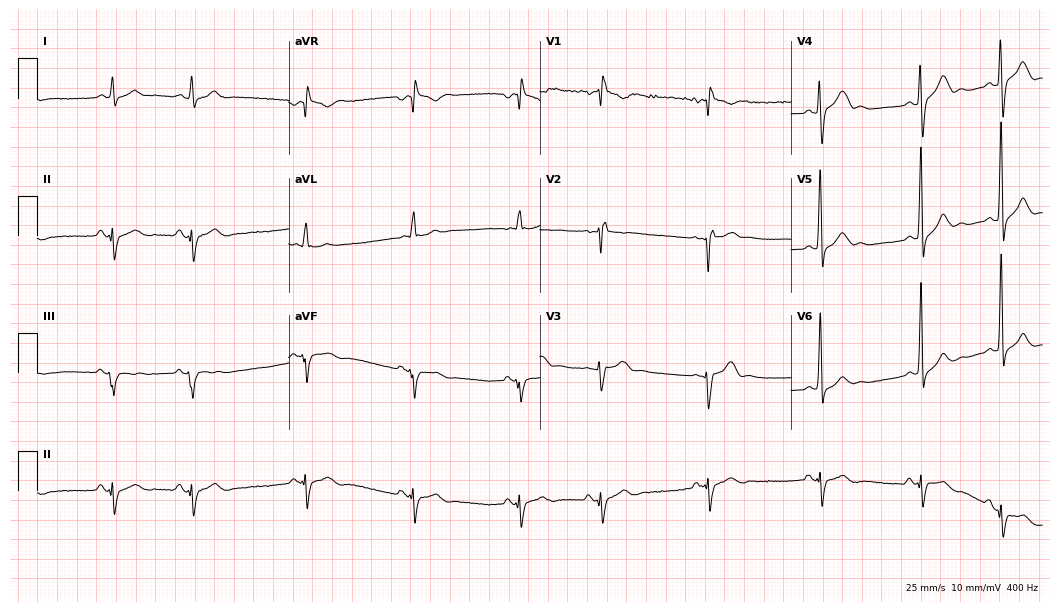
Resting 12-lead electrocardiogram. Patient: a male, 21 years old. None of these six findings is recorded: first-degree AV block, right bundle branch block (RBBB), left bundle branch block (LBBB), sinus bradycardia, atrial fibrillation (AF), sinus tachycardia.